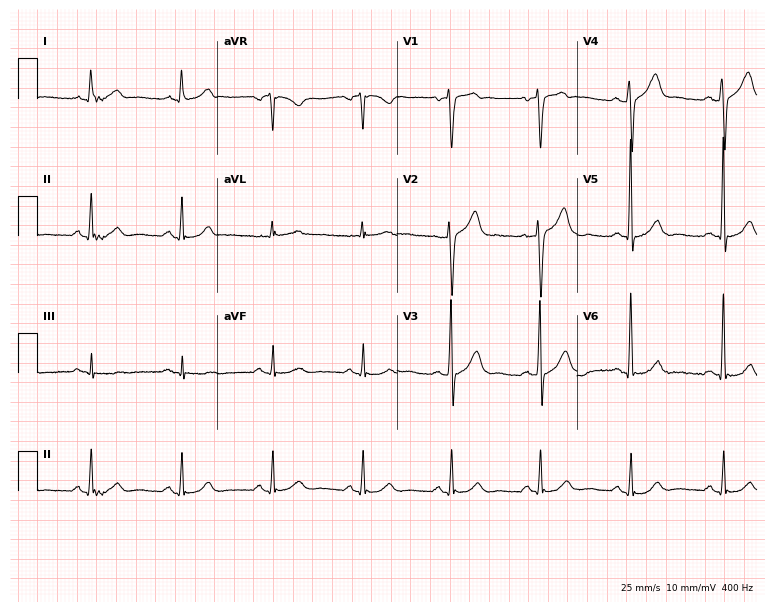
ECG (7.3-second recording at 400 Hz) — a 64-year-old male patient. Labelled as a normal ECG.